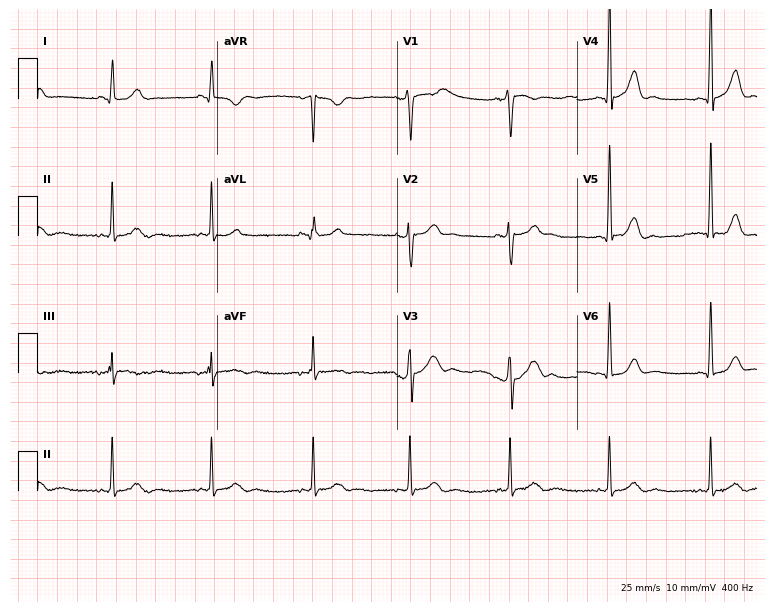
12-lead ECG from a male, 35 years old. Recorded interpretation: within normal limits.